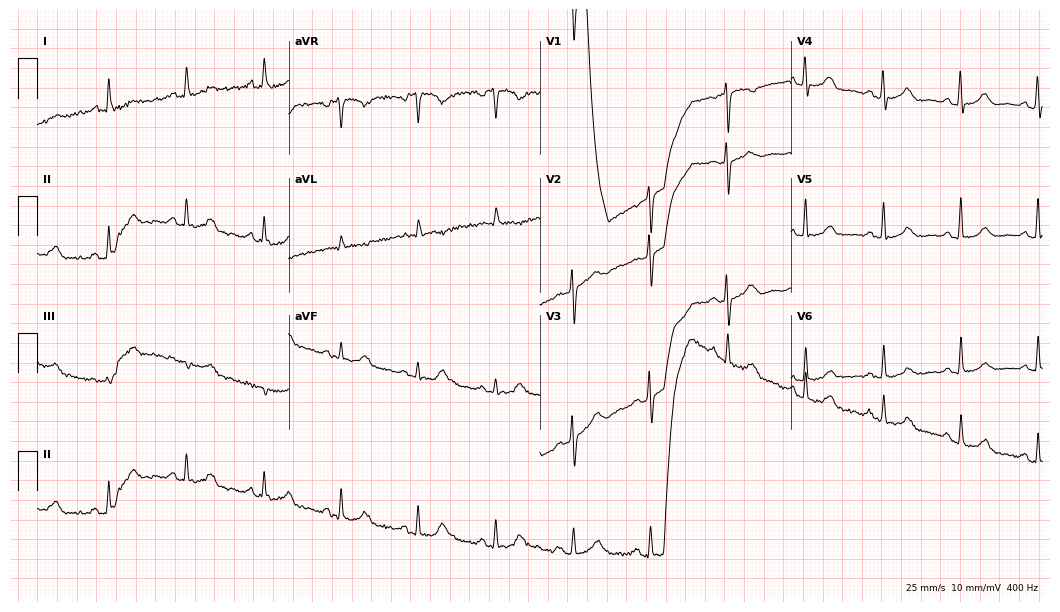
Resting 12-lead electrocardiogram (10.2-second recording at 400 Hz). Patient: a 72-year-old female. None of these six findings is recorded: first-degree AV block, right bundle branch block (RBBB), left bundle branch block (LBBB), sinus bradycardia, atrial fibrillation (AF), sinus tachycardia.